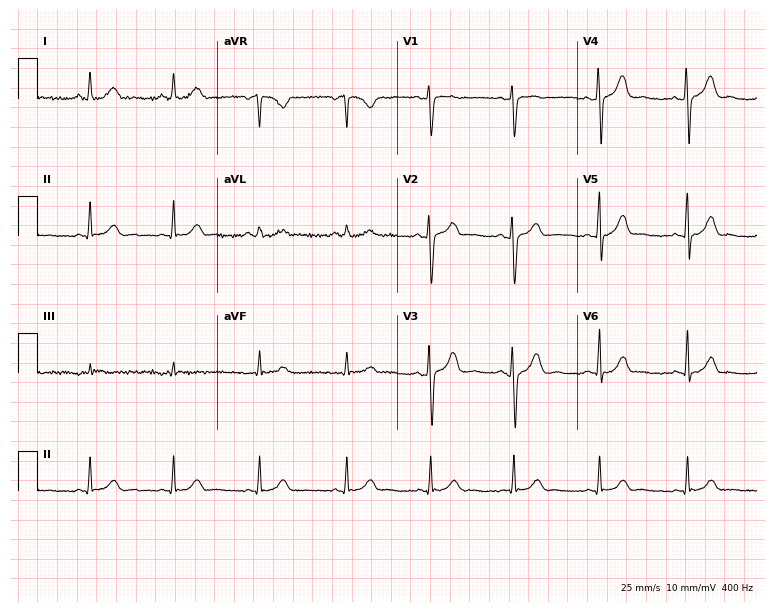
Electrocardiogram, a female, 28 years old. Overall reading on record: normal ECG.